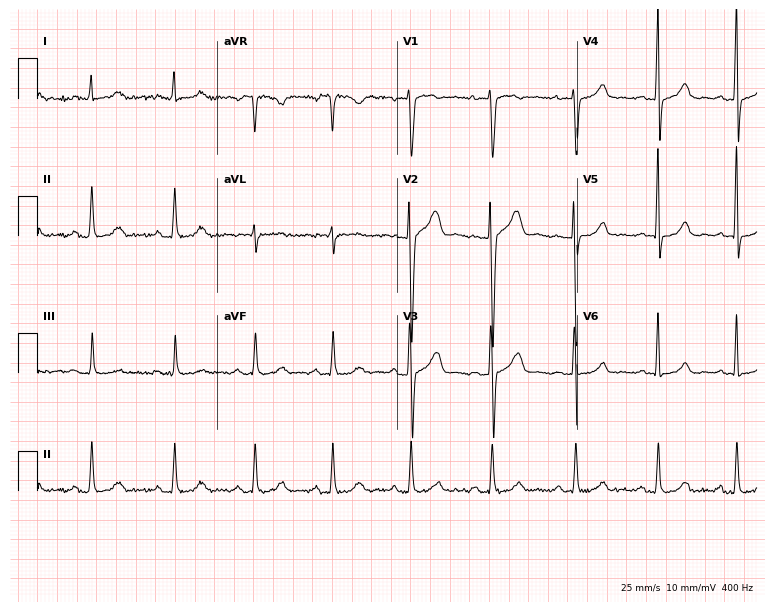
Resting 12-lead electrocardiogram (7.3-second recording at 400 Hz). Patient: a 29-year-old female. Read as a normal ECG.